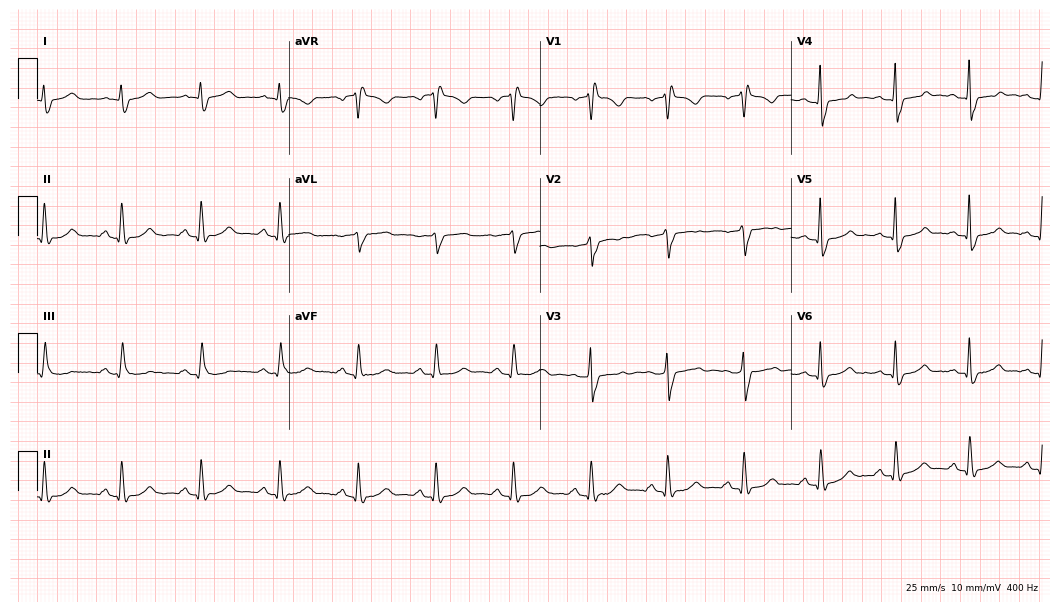
Electrocardiogram (10.2-second recording at 400 Hz), a male patient, 64 years old. Of the six screened findings (first-degree AV block, right bundle branch block (RBBB), left bundle branch block (LBBB), sinus bradycardia, atrial fibrillation (AF), sinus tachycardia), none is recorded. Other findings, if any, are not listed.